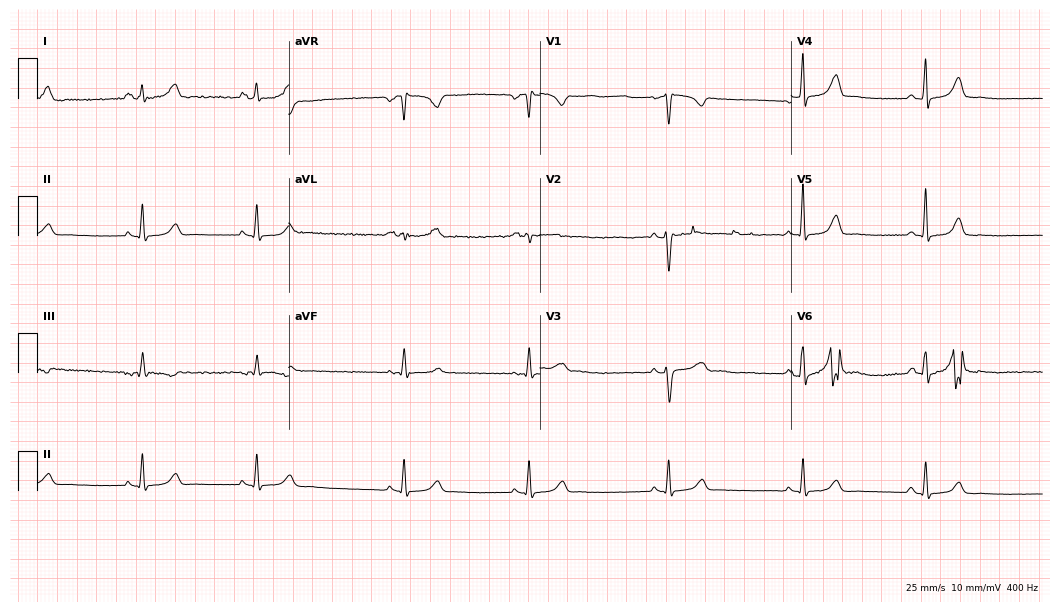
Standard 12-lead ECG recorded from a woman, 36 years old. The tracing shows sinus bradycardia (a sinus rate of 50 beats per minute or less).